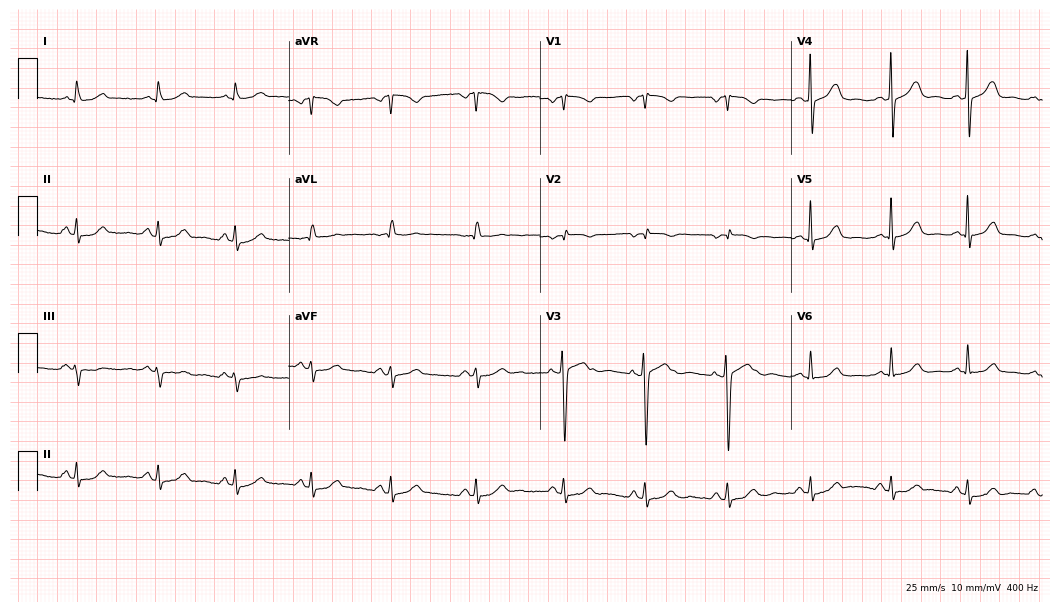
Resting 12-lead electrocardiogram (10.2-second recording at 400 Hz). Patient: a female, 46 years old. Read as a normal ECG.